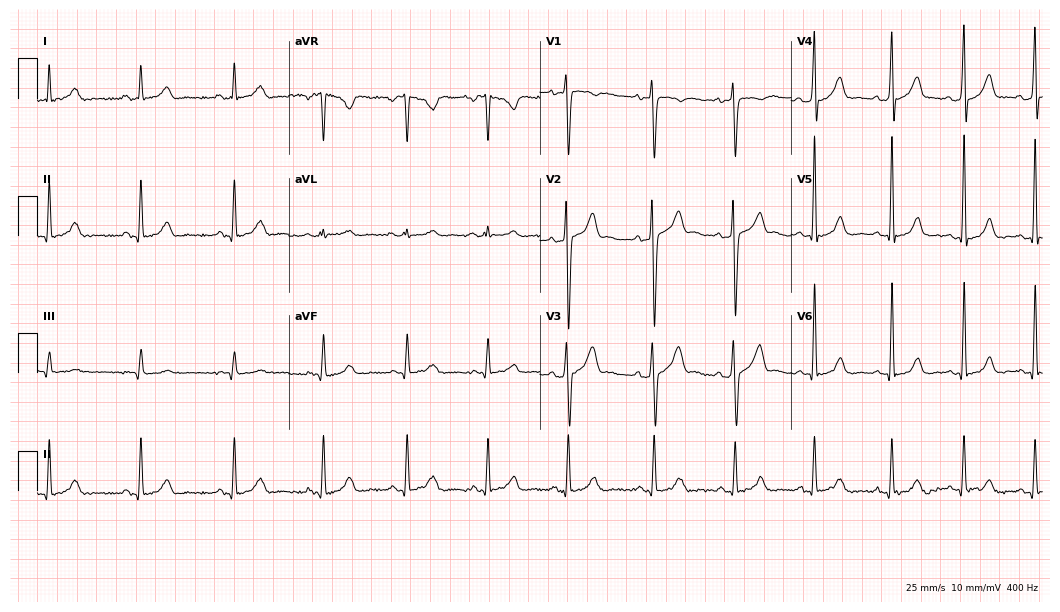
12-lead ECG from a 26-year-old male patient. Labelled as a normal ECG.